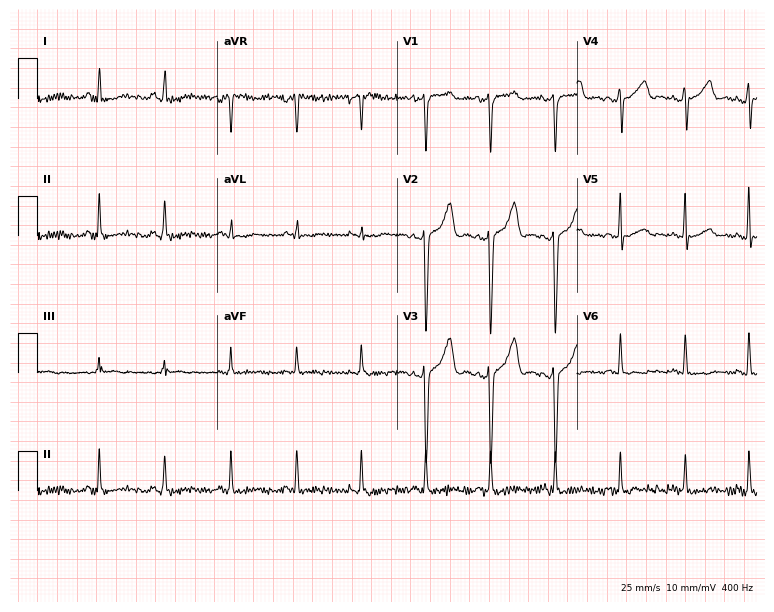
Resting 12-lead electrocardiogram (7.3-second recording at 400 Hz). Patient: a 40-year-old male. None of these six findings is recorded: first-degree AV block, right bundle branch block (RBBB), left bundle branch block (LBBB), sinus bradycardia, atrial fibrillation (AF), sinus tachycardia.